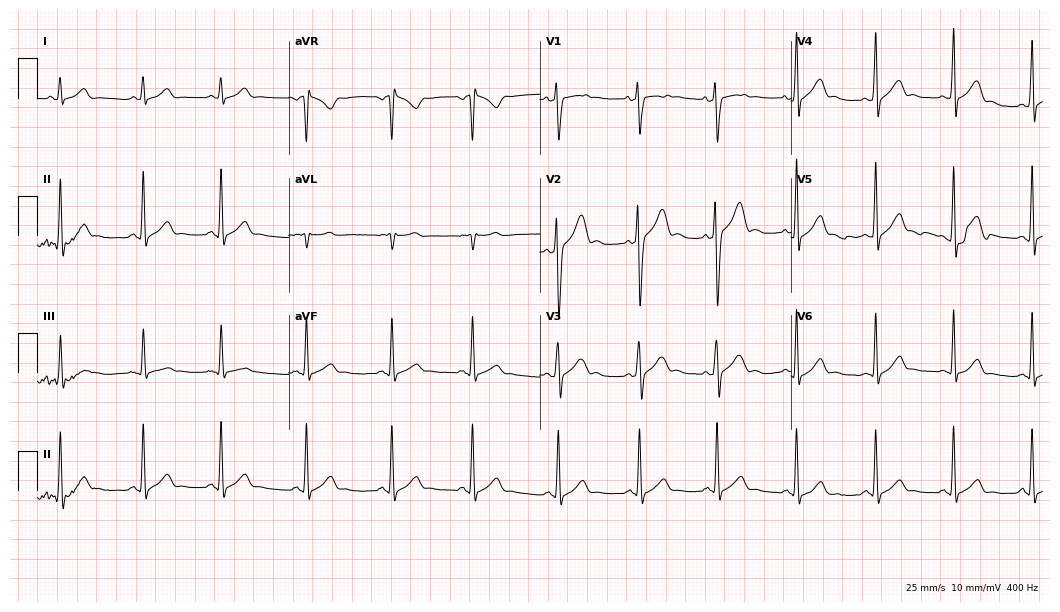
Standard 12-lead ECG recorded from a 17-year-old man. Read as a normal ECG.